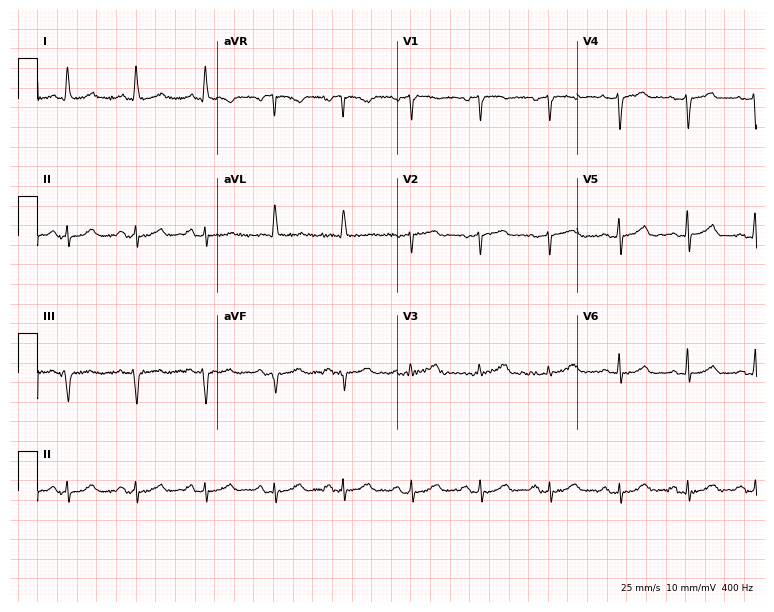
ECG — a woman, 73 years old. Labelled as a normal ECG.